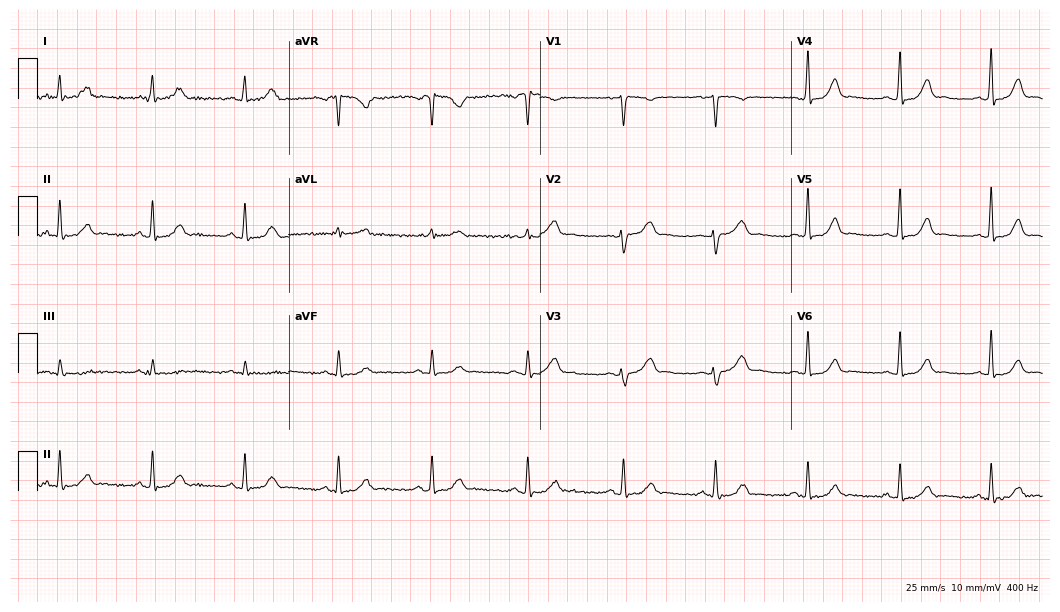
Electrocardiogram, a 43-year-old female patient. Overall reading on record: normal ECG.